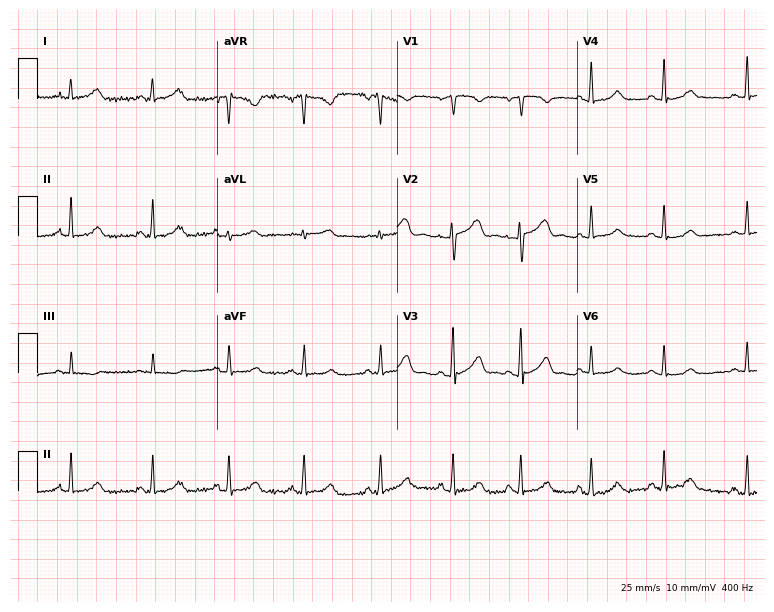
12-lead ECG (7.3-second recording at 400 Hz) from a 35-year-old woman. Labelled as a normal ECG.